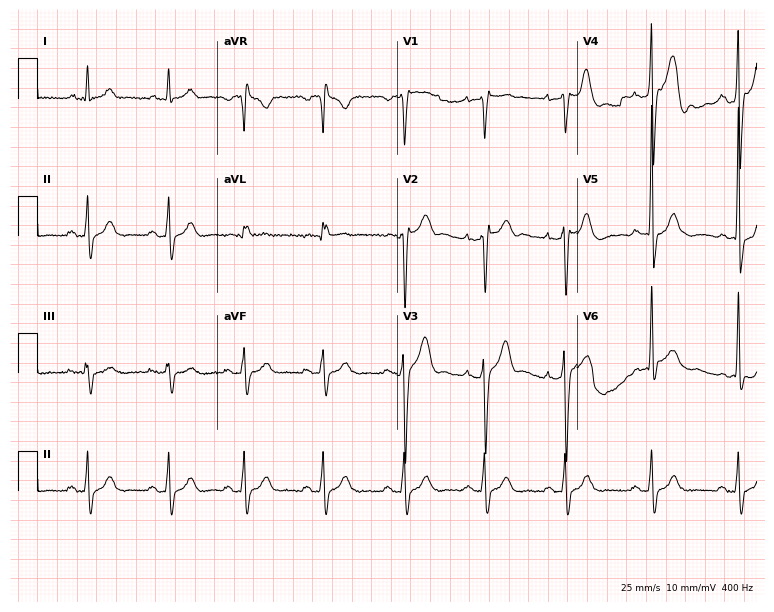
12-lead ECG from a 37-year-old male patient. Screened for six findings — first-degree AV block, right bundle branch block, left bundle branch block, sinus bradycardia, atrial fibrillation, sinus tachycardia — none is recorded.